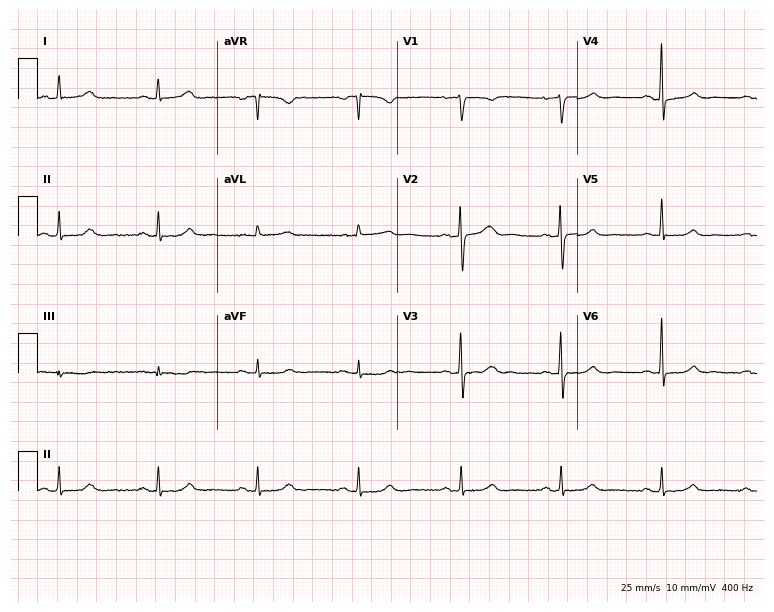
ECG — a female, 54 years old. Labelled as a normal ECG.